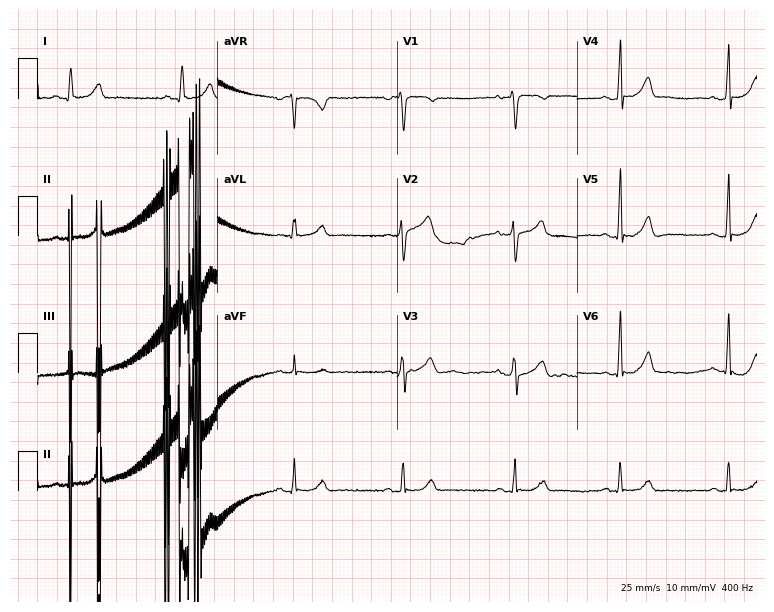
ECG (7.3-second recording at 400 Hz) — a 36-year-old woman. Labelled as a normal ECG.